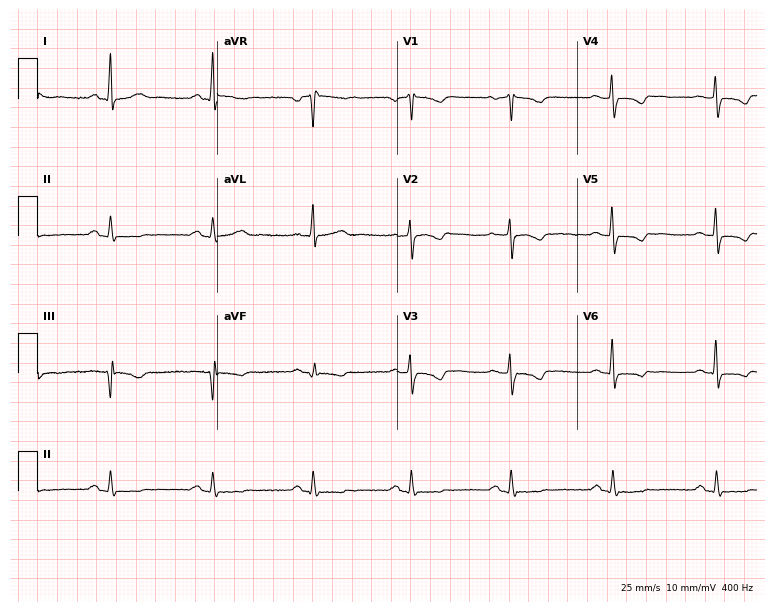
12-lead ECG (7.3-second recording at 400 Hz) from a 55-year-old female. Screened for six findings — first-degree AV block, right bundle branch block, left bundle branch block, sinus bradycardia, atrial fibrillation, sinus tachycardia — none is recorded.